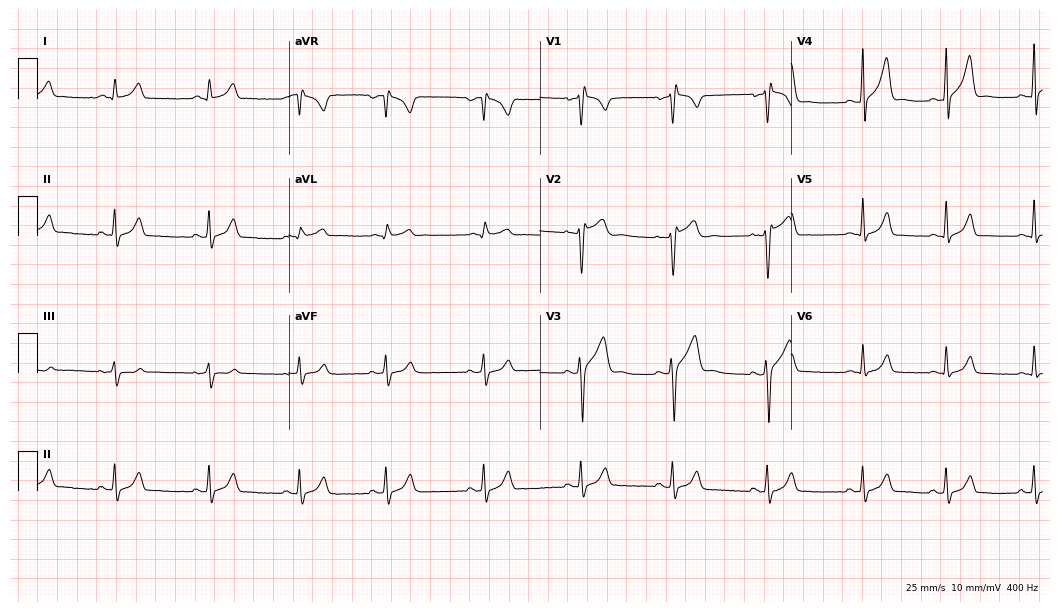
ECG (10.2-second recording at 400 Hz) — an 18-year-old male. Screened for six findings — first-degree AV block, right bundle branch block (RBBB), left bundle branch block (LBBB), sinus bradycardia, atrial fibrillation (AF), sinus tachycardia — none is recorded.